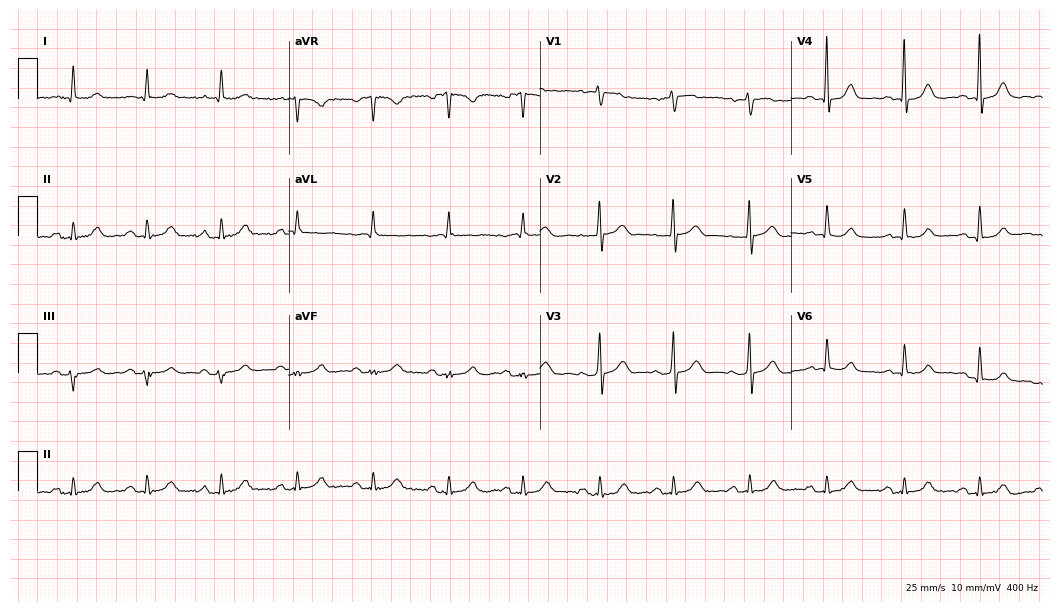
Resting 12-lead electrocardiogram. Patient: a 68-year-old female. Read as a normal ECG.